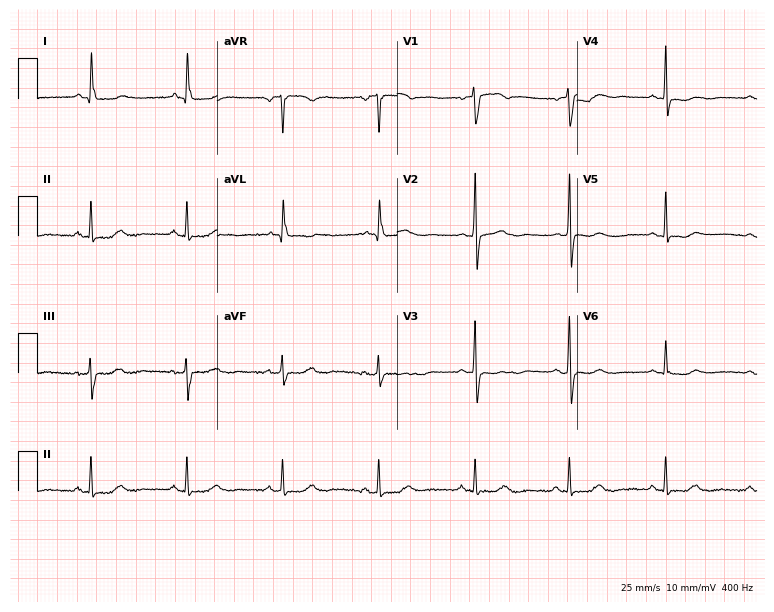
Electrocardiogram (7.3-second recording at 400 Hz), a male patient, 52 years old. Of the six screened findings (first-degree AV block, right bundle branch block, left bundle branch block, sinus bradycardia, atrial fibrillation, sinus tachycardia), none is recorded.